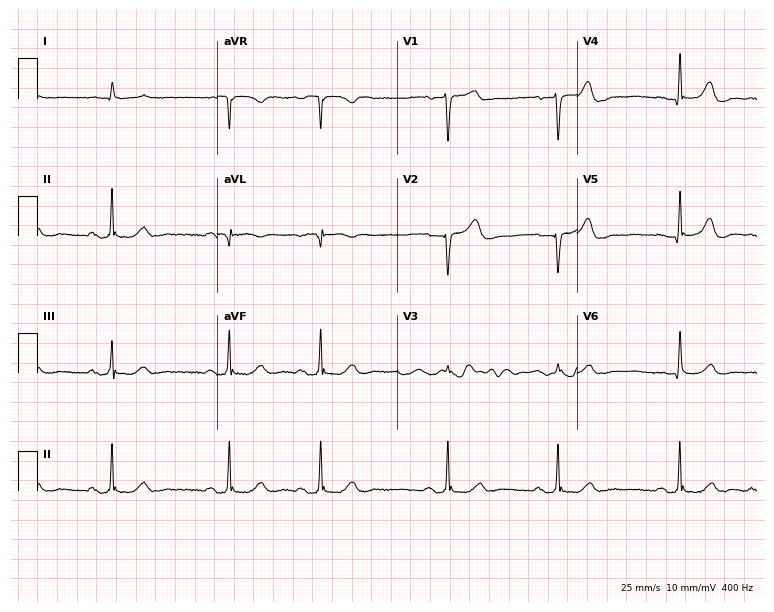
12-lead ECG (7.3-second recording at 400 Hz) from a 73-year-old man. Screened for six findings — first-degree AV block, right bundle branch block (RBBB), left bundle branch block (LBBB), sinus bradycardia, atrial fibrillation (AF), sinus tachycardia — none is recorded. Other findings, if any, are not listed.